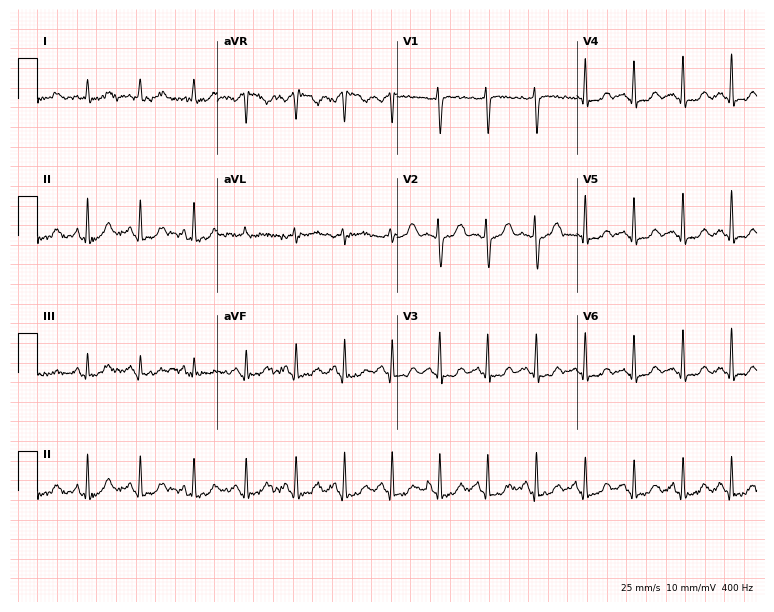
Resting 12-lead electrocardiogram (7.3-second recording at 400 Hz). Patient: a 35-year-old woman. The tracing shows sinus tachycardia (a sinus rate of 100 beats per minute or more).